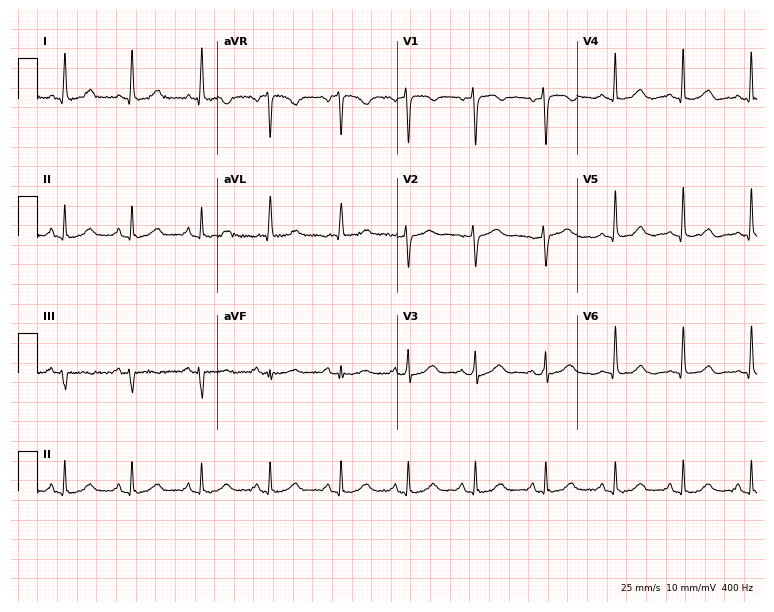
ECG (7.3-second recording at 400 Hz) — a 55-year-old female. Labelled as a normal ECG.